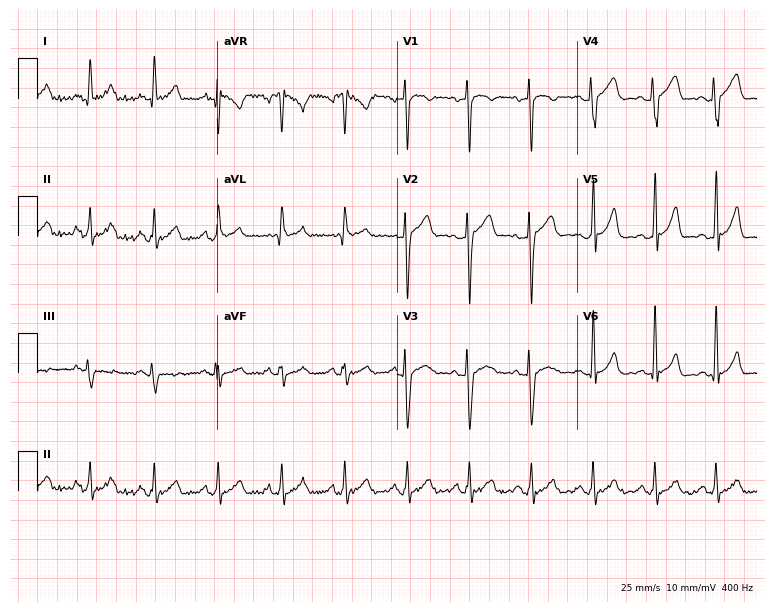
Standard 12-lead ECG recorded from a man, 32 years old. None of these six findings is recorded: first-degree AV block, right bundle branch block, left bundle branch block, sinus bradycardia, atrial fibrillation, sinus tachycardia. Only these six findings were labelled.